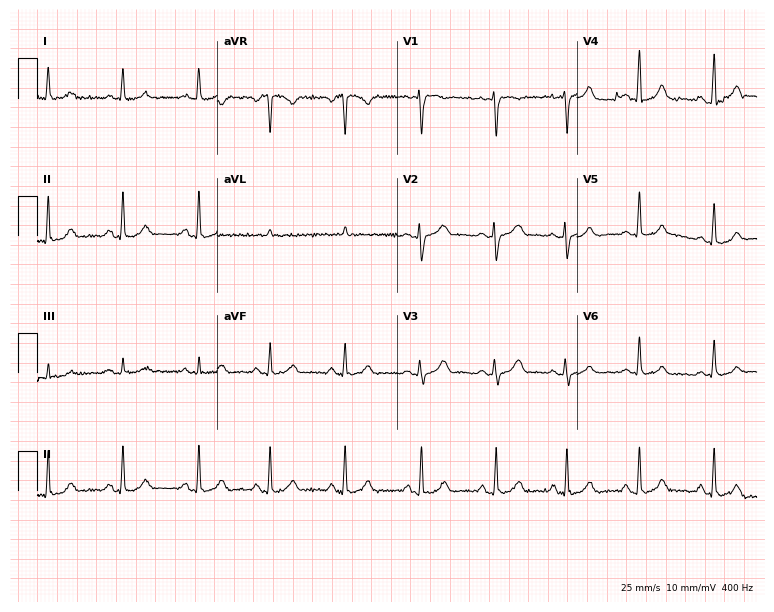
Standard 12-lead ECG recorded from a female, 48 years old. Read as a normal ECG.